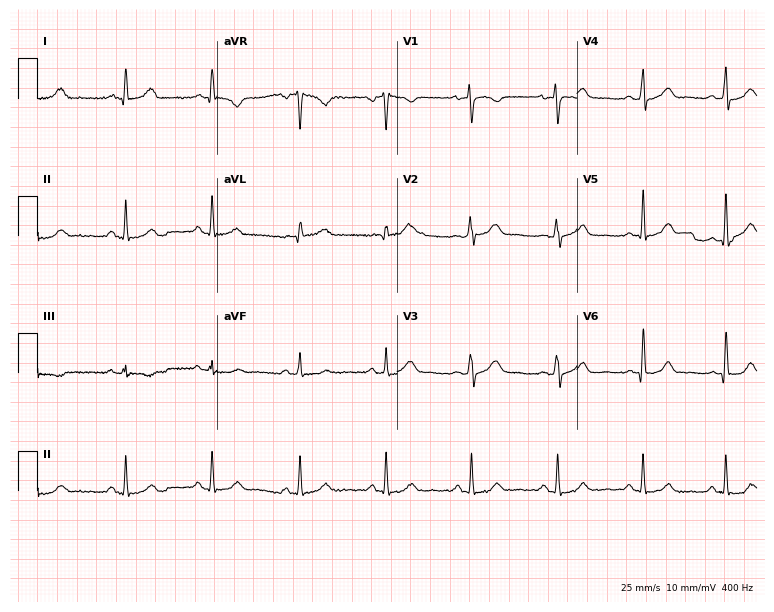
12-lead ECG from a woman, 51 years old. Labelled as a normal ECG.